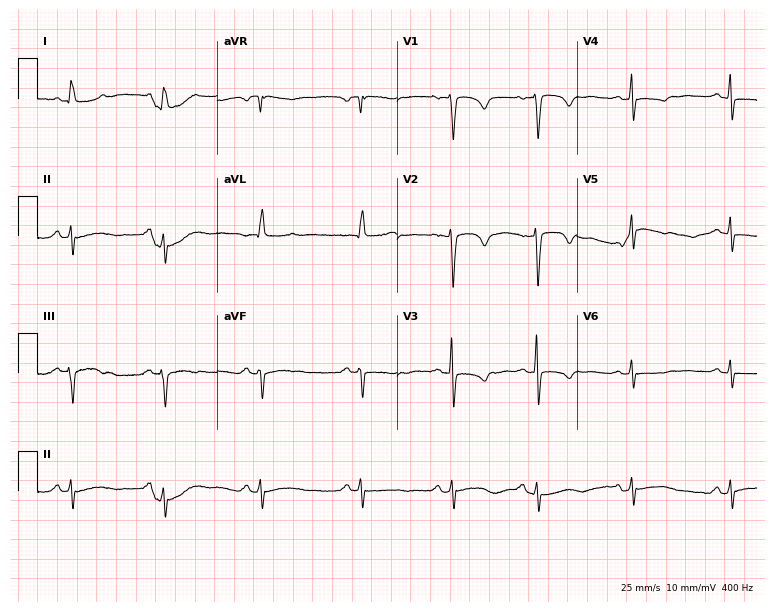
Standard 12-lead ECG recorded from a woman, 78 years old. None of these six findings is recorded: first-degree AV block, right bundle branch block, left bundle branch block, sinus bradycardia, atrial fibrillation, sinus tachycardia. Other findings, if any, are not listed.